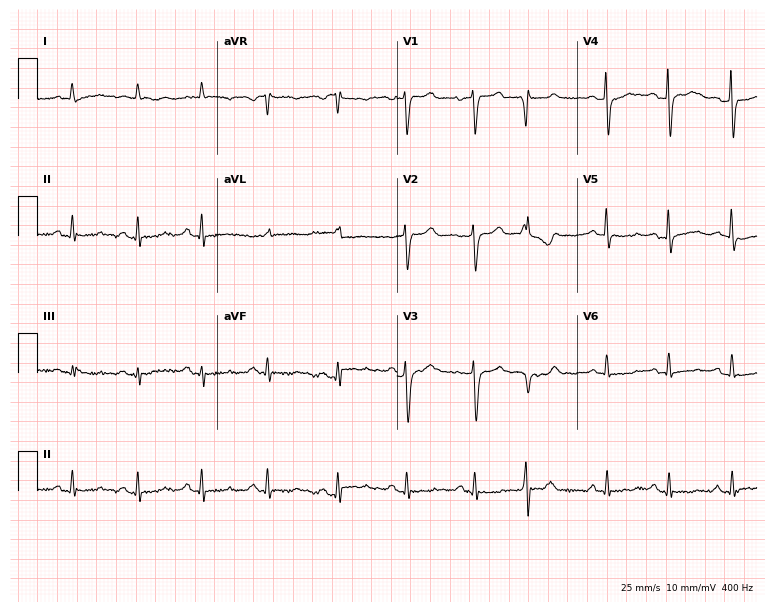
Electrocardiogram (7.3-second recording at 400 Hz), a 68-year-old female patient. Of the six screened findings (first-degree AV block, right bundle branch block (RBBB), left bundle branch block (LBBB), sinus bradycardia, atrial fibrillation (AF), sinus tachycardia), none is recorded.